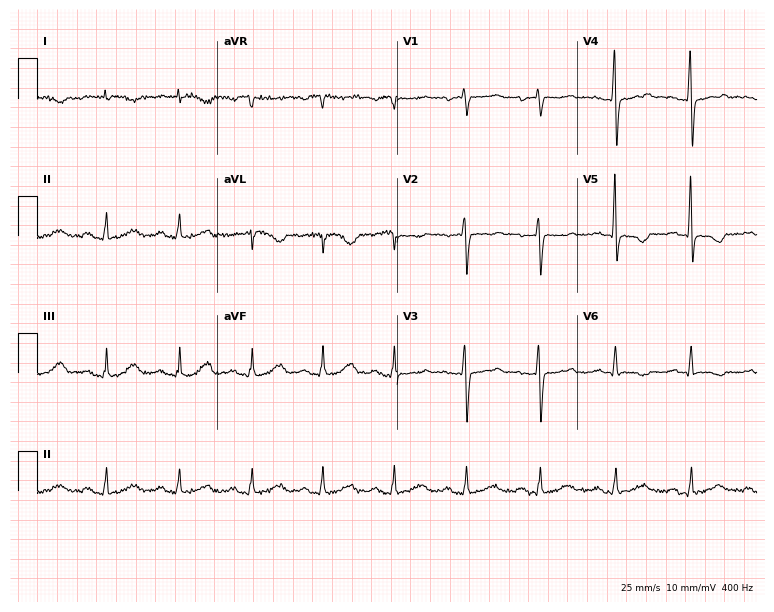
Resting 12-lead electrocardiogram (7.3-second recording at 400 Hz). Patient: a 78-year-old female. None of these six findings is recorded: first-degree AV block, right bundle branch block, left bundle branch block, sinus bradycardia, atrial fibrillation, sinus tachycardia.